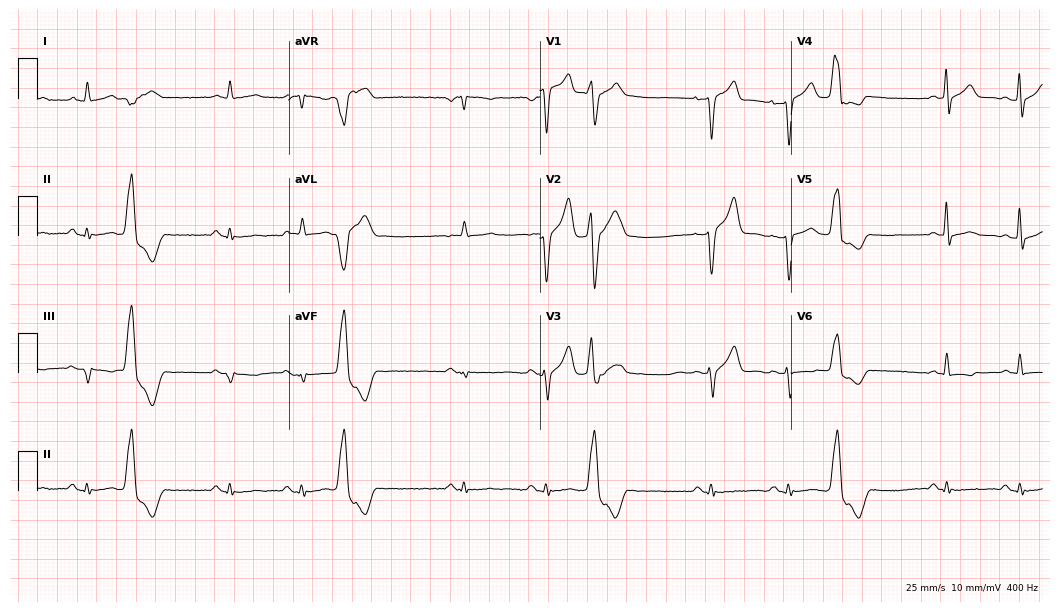
12-lead ECG from a 55-year-old male patient. Screened for six findings — first-degree AV block, right bundle branch block, left bundle branch block, sinus bradycardia, atrial fibrillation, sinus tachycardia — none is recorded. Only these six findings were labelled.